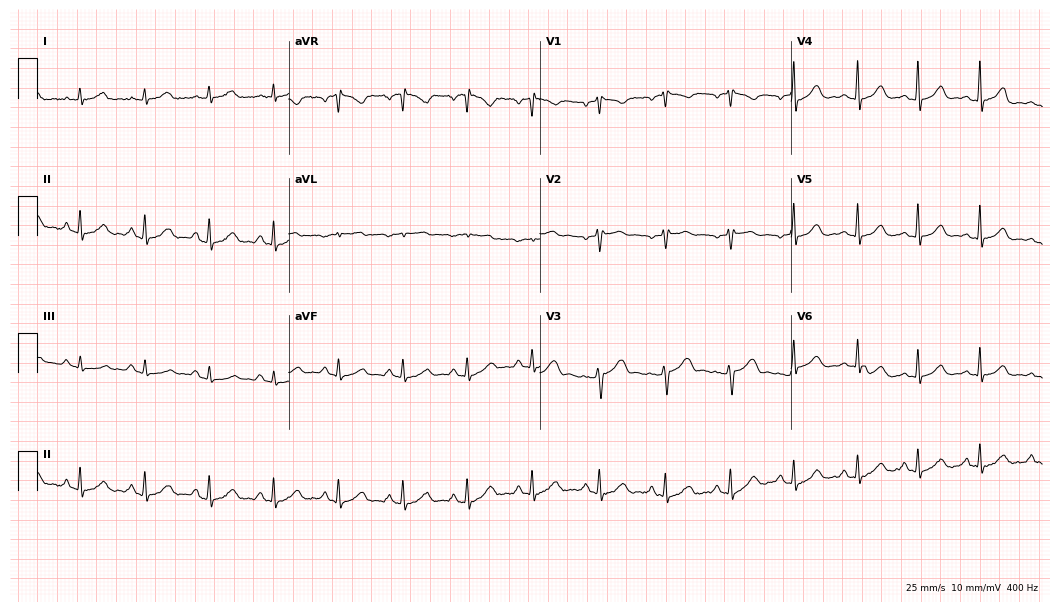
ECG (10.2-second recording at 400 Hz) — a 40-year-old female patient. Screened for six findings — first-degree AV block, right bundle branch block, left bundle branch block, sinus bradycardia, atrial fibrillation, sinus tachycardia — none is recorded.